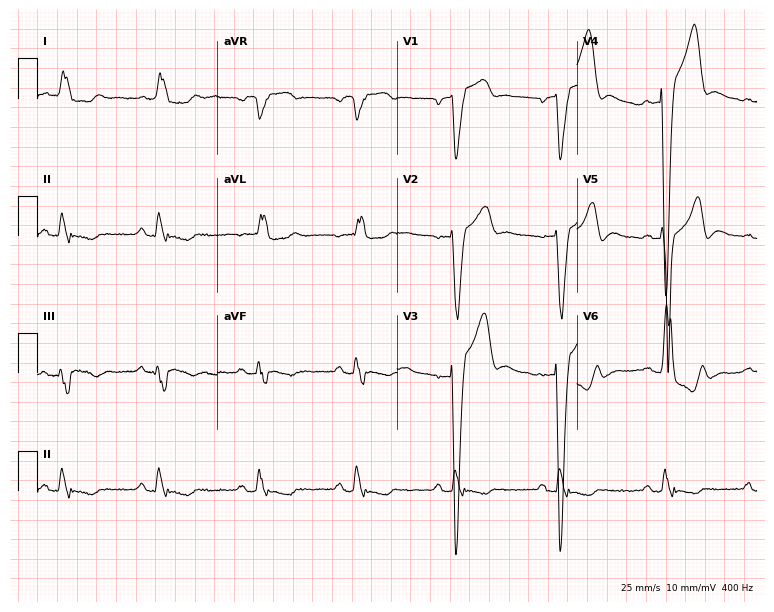
Resting 12-lead electrocardiogram. Patient: a 77-year-old male. The tracing shows left bundle branch block (LBBB).